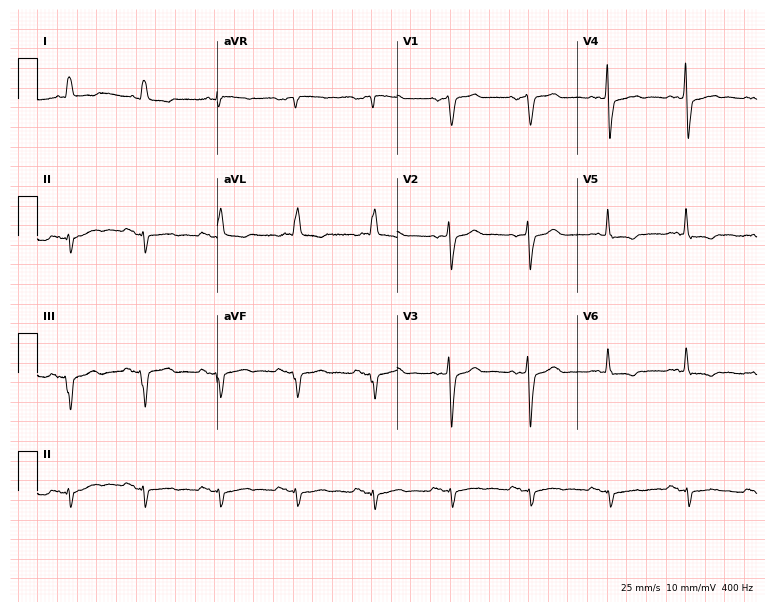
12-lead ECG (7.3-second recording at 400 Hz) from a 69-year-old male patient. Screened for six findings — first-degree AV block, right bundle branch block, left bundle branch block, sinus bradycardia, atrial fibrillation, sinus tachycardia — none is recorded. Only these six findings were labelled.